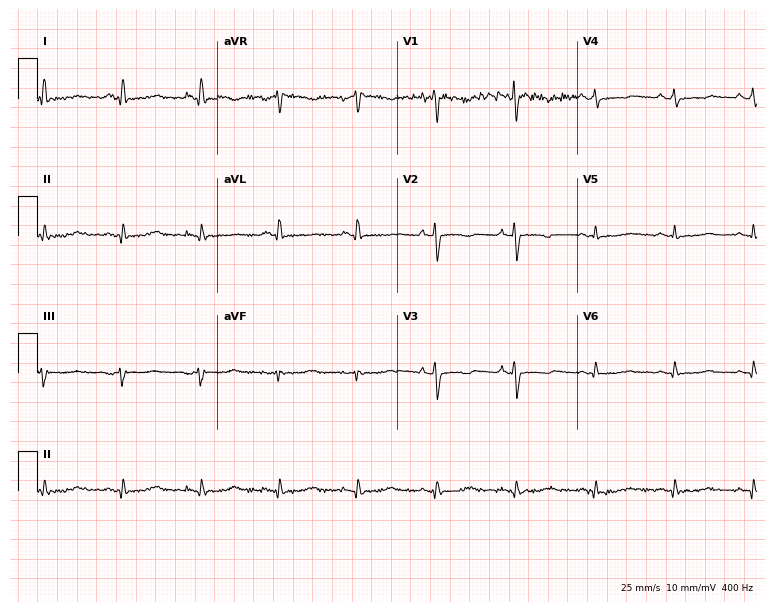
ECG — a 53-year-old male. Screened for six findings — first-degree AV block, right bundle branch block, left bundle branch block, sinus bradycardia, atrial fibrillation, sinus tachycardia — none is recorded.